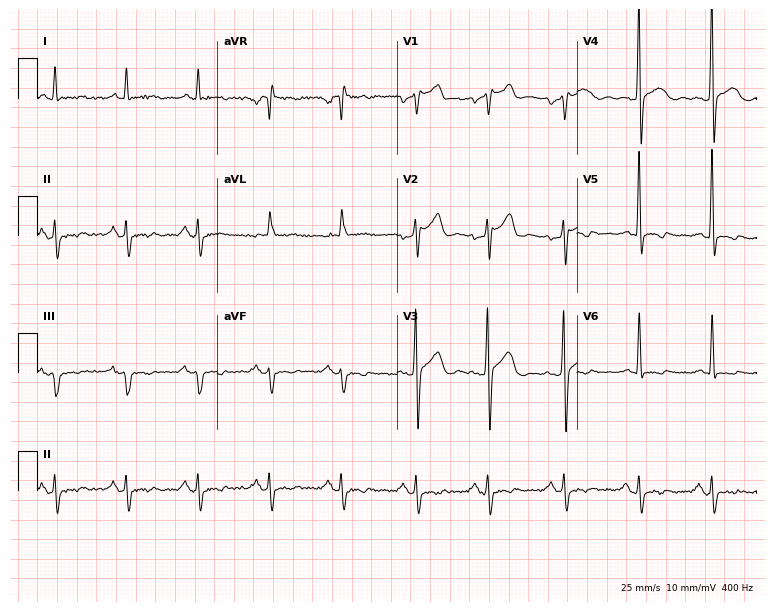
Standard 12-lead ECG recorded from a 59-year-old male (7.3-second recording at 400 Hz). None of these six findings is recorded: first-degree AV block, right bundle branch block (RBBB), left bundle branch block (LBBB), sinus bradycardia, atrial fibrillation (AF), sinus tachycardia.